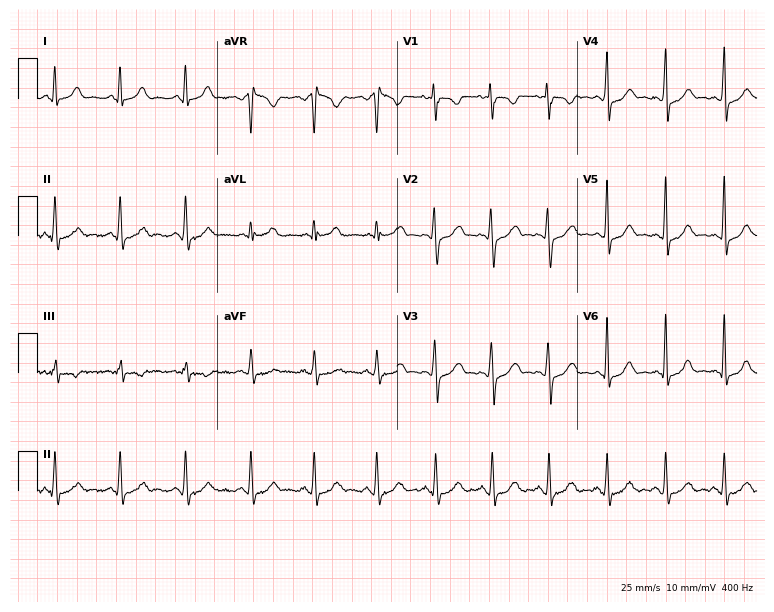
Resting 12-lead electrocardiogram (7.3-second recording at 400 Hz). Patient: a 17-year-old female. None of these six findings is recorded: first-degree AV block, right bundle branch block, left bundle branch block, sinus bradycardia, atrial fibrillation, sinus tachycardia. Only these six findings were labelled.